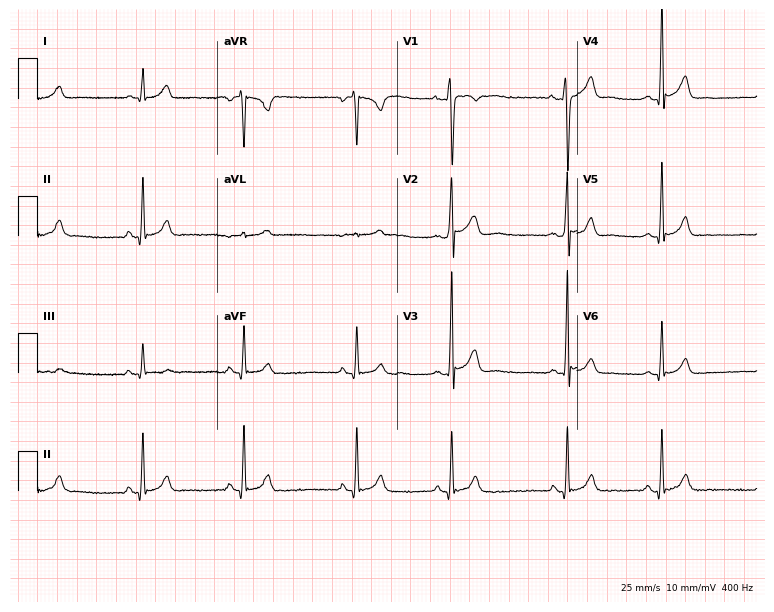
Resting 12-lead electrocardiogram (7.3-second recording at 400 Hz). Patient: a male, 23 years old. Read as a normal ECG.